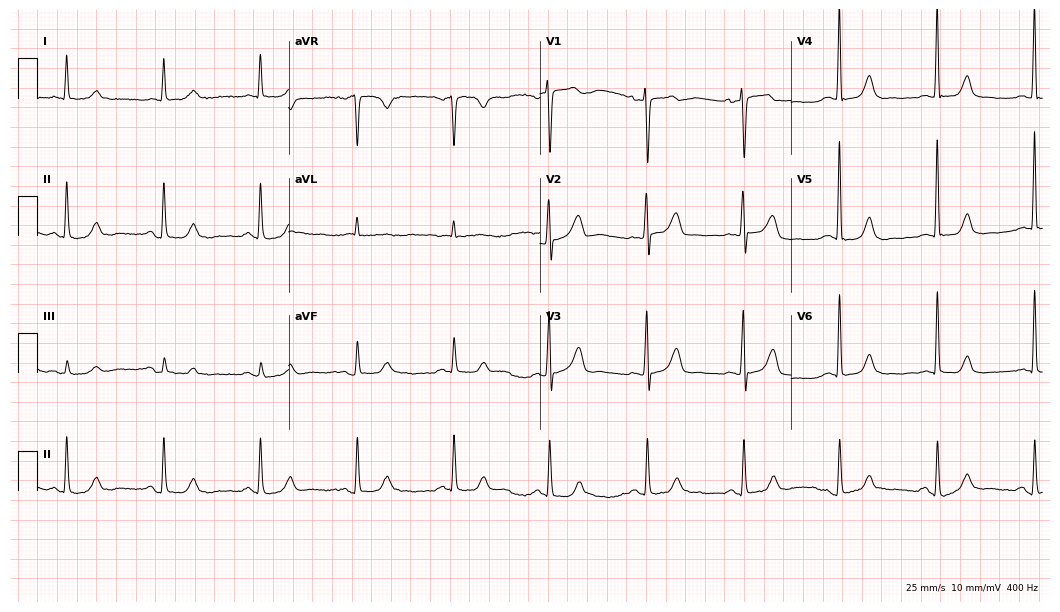
12-lead ECG from a 74-year-old female (10.2-second recording at 400 Hz). No first-degree AV block, right bundle branch block (RBBB), left bundle branch block (LBBB), sinus bradycardia, atrial fibrillation (AF) or sinus tachycardia recorded for this tracing. Findings outside these six are not listed.